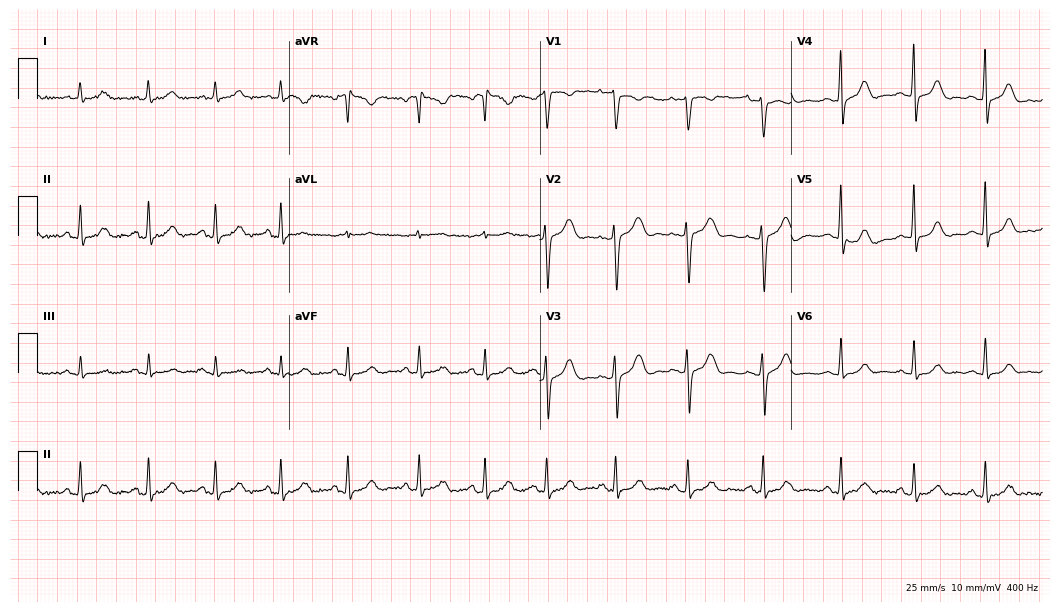
Standard 12-lead ECG recorded from a woman, 38 years old. None of these six findings is recorded: first-degree AV block, right bundle branch block, left bundle branch block, sinus bradycardia, atrial fibrillation, sinus tachycardia. Findings outside these six are not listed.